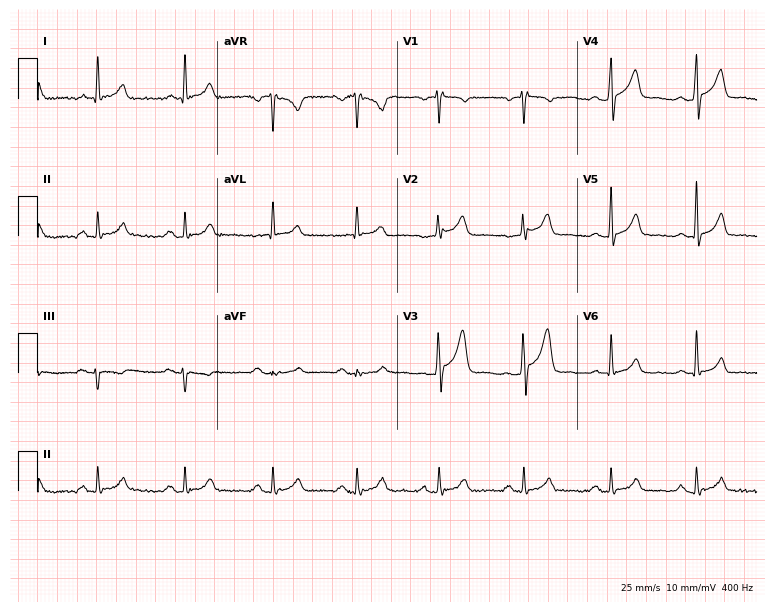
Resting 12-lead electrocardiogram. Patient: a 45-year-old male. None of these six findings is recorded: first-degree AV block, right bundle branch block, left bundle branch block, sinus bradycardia, atrial fibrillation, sinus tachycardia.